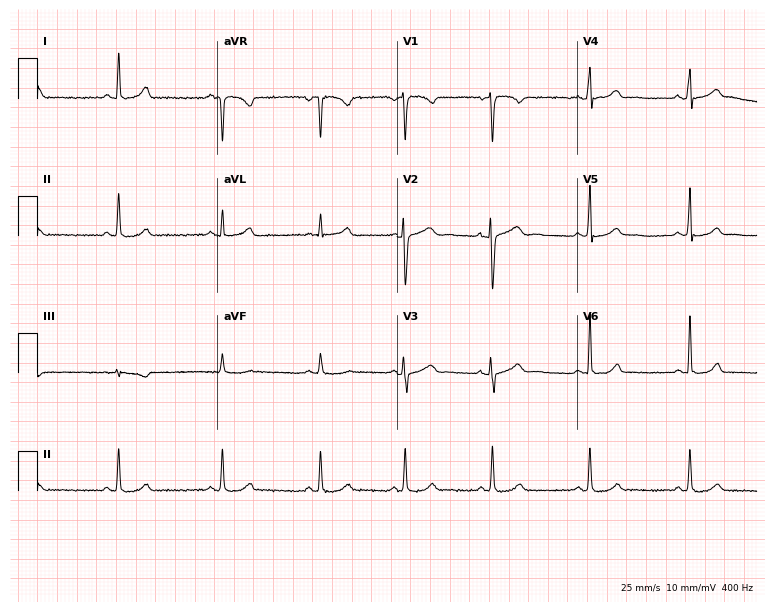
Resting 12-lead electrocardiogram (7.3-second recording at 400 Hz). Patient: a 41-year-old female. None of these six findings is recorded: first-degree AV block, right bundle branch block, left bundle branch block, sinus bradycardia, atrial fibrillation, sinus tachycardia.